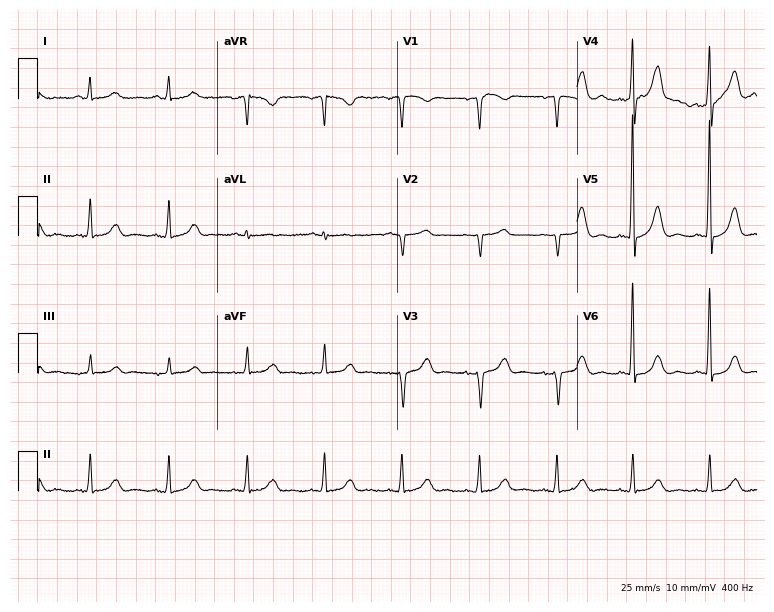
Electrocardiogram, a 77-year-old female. Overall reading on record: normal ECG.